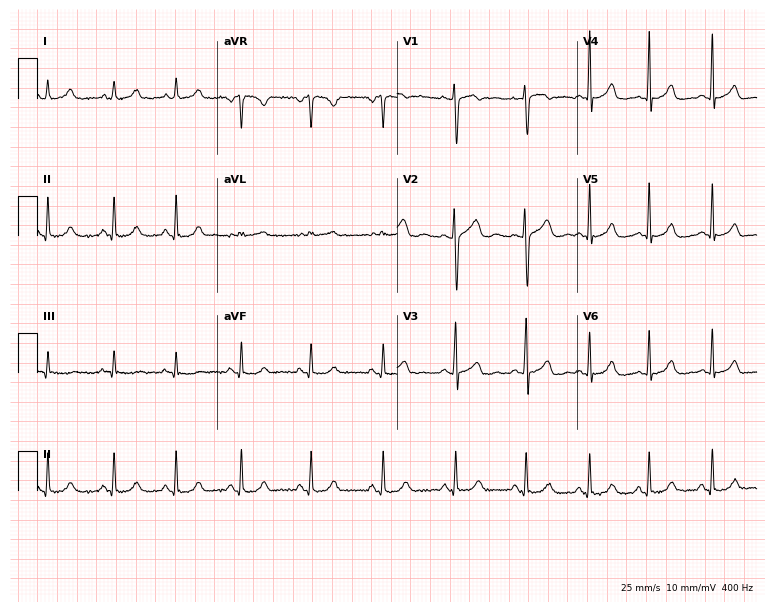
12-lead ECG (7.3-second recording at 400 Hz) from a female patient, 18 years old. Labelled as a normal ECG.